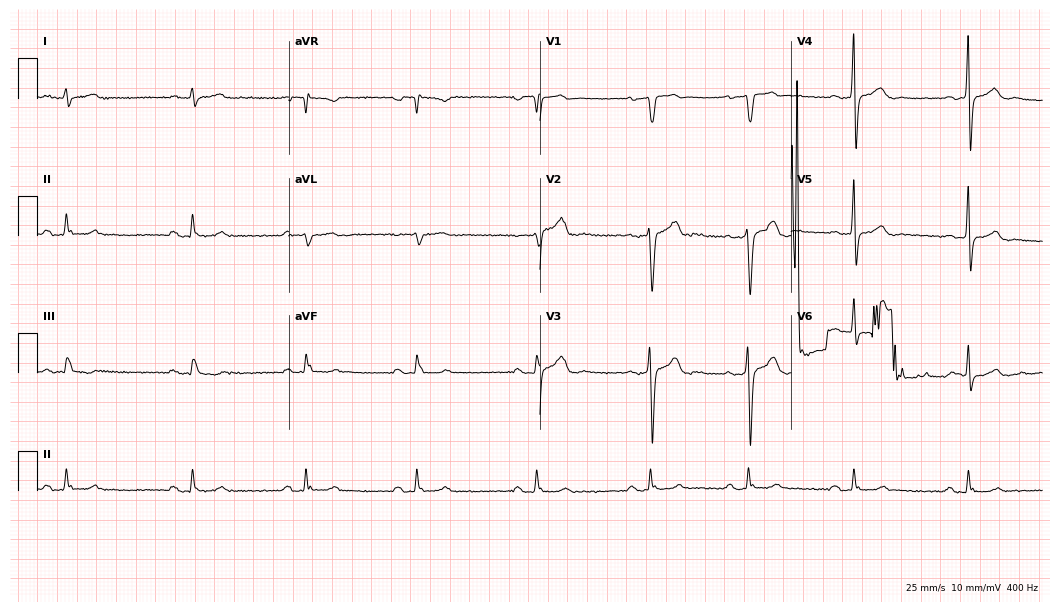
ECG (10.2-second recording at 400 Hz) — a 38-year-old man. Labelled as a normal ECG.